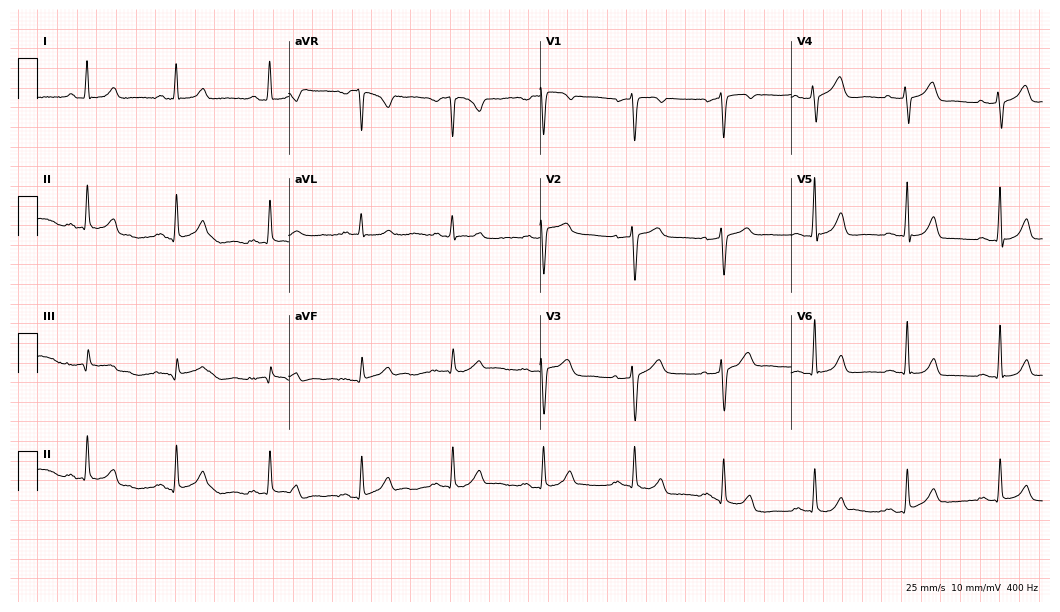
ECG (10.2-second recording at 400 Hz) — a 61-year-old female patient. Findings include first-degree AV block.